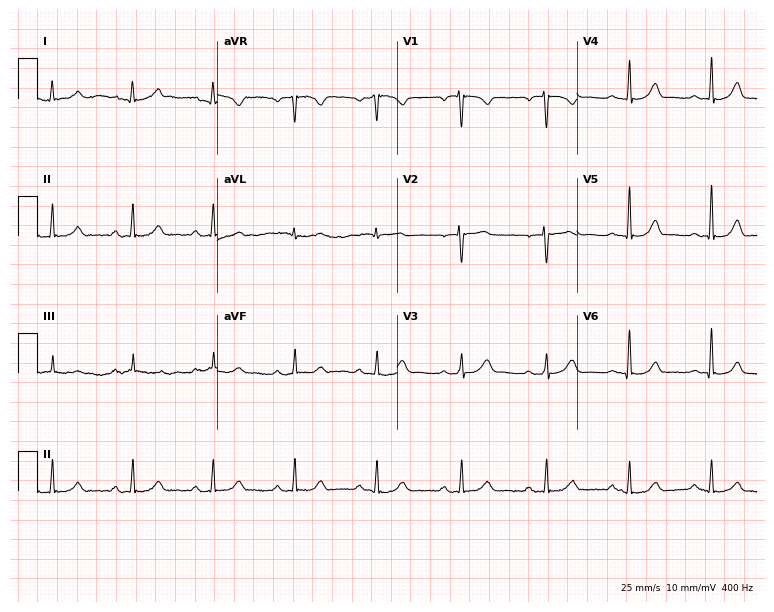
12-lead ECG from a woman, 41 years old. No first-degree AV block, right bundle branch block, left bundle branch block, sinus bradycardia, atrial fibrillation or sinus tachycardia recorded for this tracing.